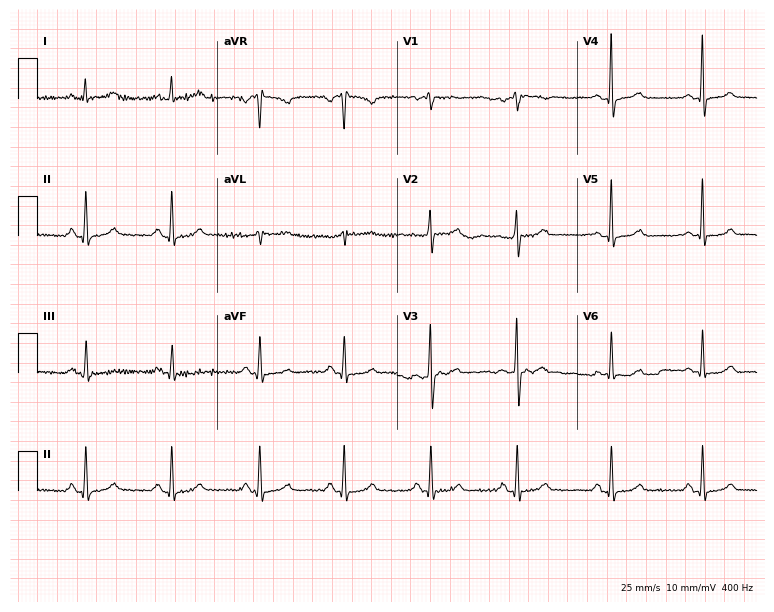
Resting 12-lead electrocardiogram (7.3-second recording at 400 Hz). Patient: a female, 27 years old. Read as a normal ECG.